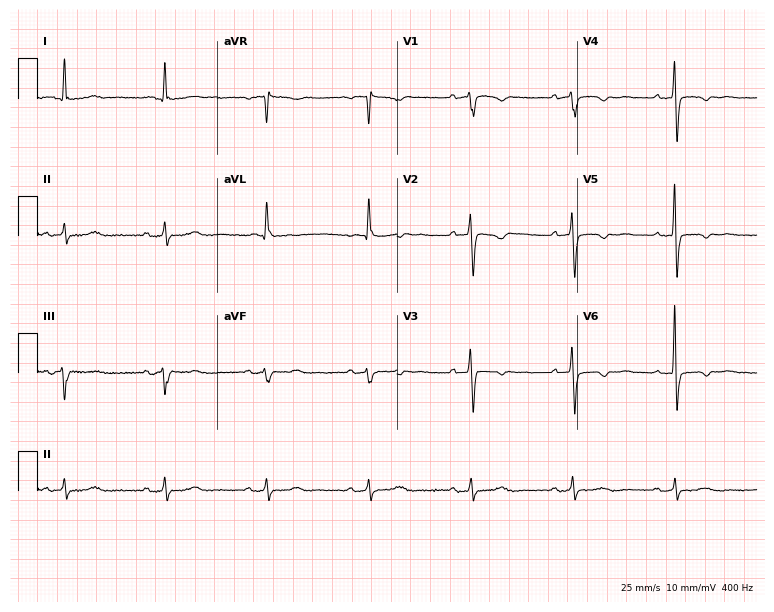
ECG (7.3-second recording at 400 Hz) — a female patient, 78 years old. Screened for six findings — first-degree AV block, right bundle branch block, left bundle branch block, sinus bradycardia, atrial fibrillation, sinus tachycardia — none is recorded. Only these six findings were labelled.